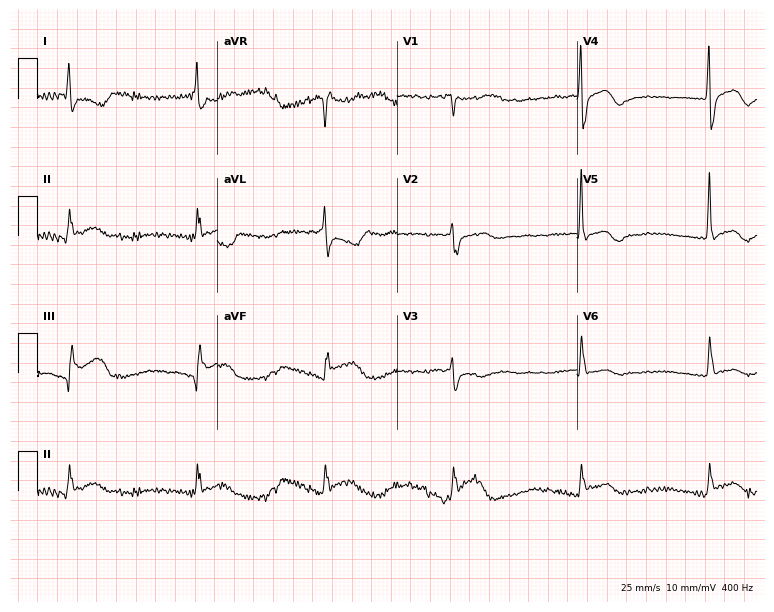
ECG — a woman, 82 years old. Findings include sinus bradycardia (a sinus rate of 50 beats per minute or less).